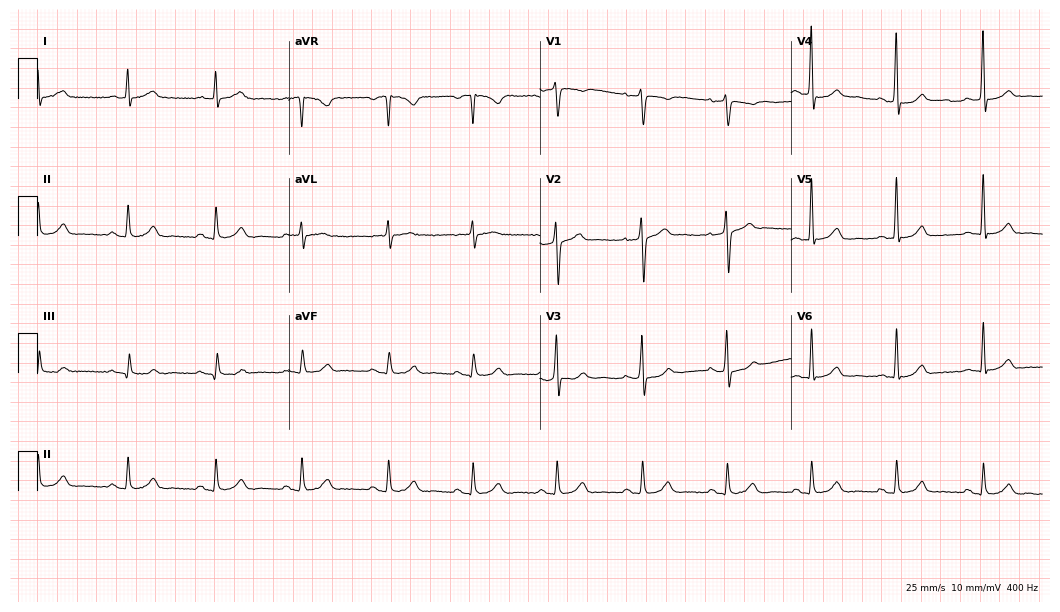
12-lead ECG from a 59-year-old male patient (10.2-second recording at 400 Hz). No first-degree AV block, right bundle branch block (RBBB), left bundle branch block (LBBB), sinus bradycardia, atrial fibrillation (AF) or sinus tachycardia recorded for this tracing.